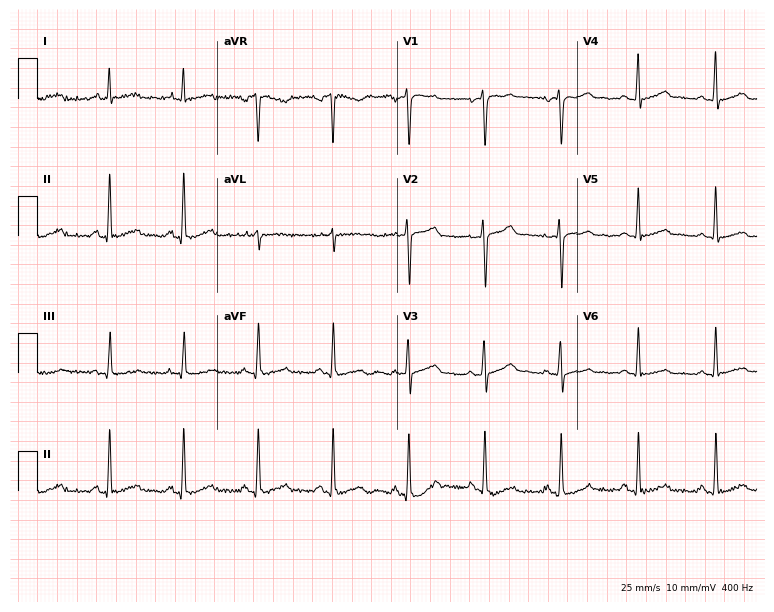
12-lead ECG from a 34-year-old female patient (7.3-second recording at 400 Hz). No first-degree AV block, right bundle branch block, left bundle branch block, sinus bradycardia, atrial fibrillation or sinus tachycardia recorded for this tracing. Only these six findings were labelled.